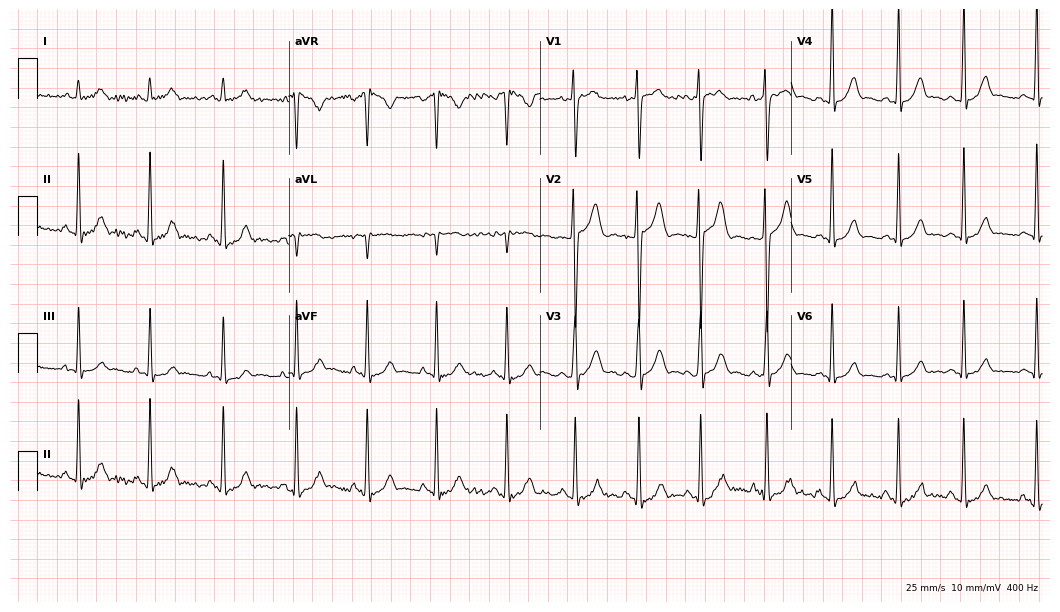
12-lead ECG (10.2-second recording at 400 Hz) from an 18-year-old male patient. Labelled as a normal ECG.